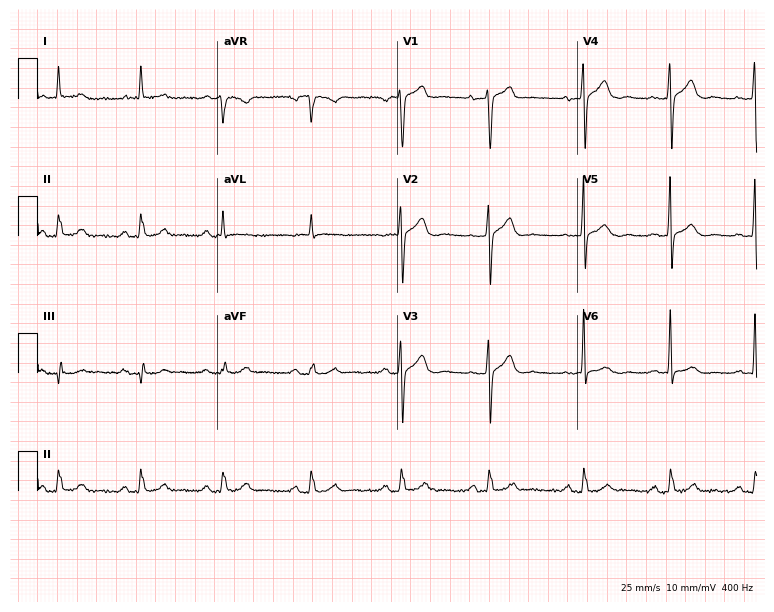
12-lead ECG from a male, 79 years old (7.3-second recording at 400 Hz). Recorded interpretation: within normal limits.